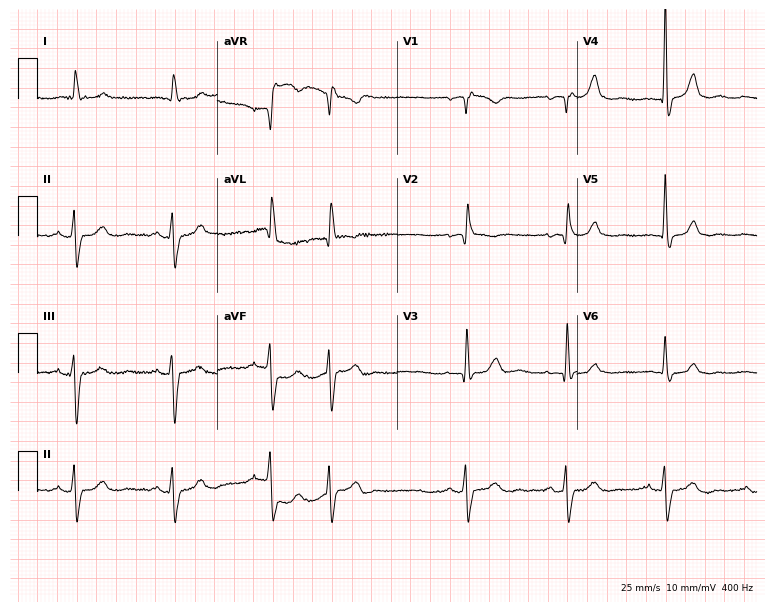
Standard 12-lead ECG recorded from a female, 71 years old (7.3-second recording at 400 Hz). None of these six findings is recorded: first-degree AV block, right bundle branch block, left bundle branch block, sinus bradycardia, atrial fibrillation, sinus tachycardia. Findings outside these six are not listed.